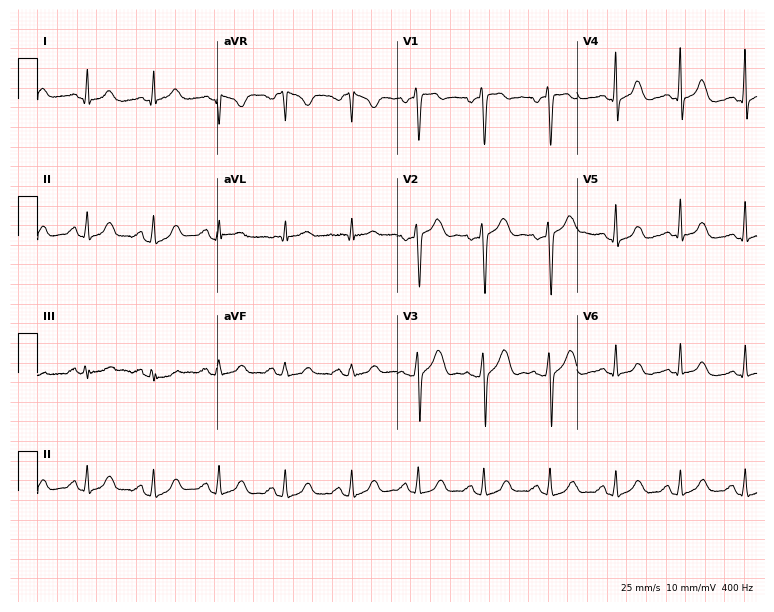
12-lead ECG from a 44-year-old female. No first-degree AV block, right bundle branch block, left bundle branch block, sinus bradycardia, atrial fibrillation or sinus tachycardia recorded for this tracing. Other findings, if any, are not listed.